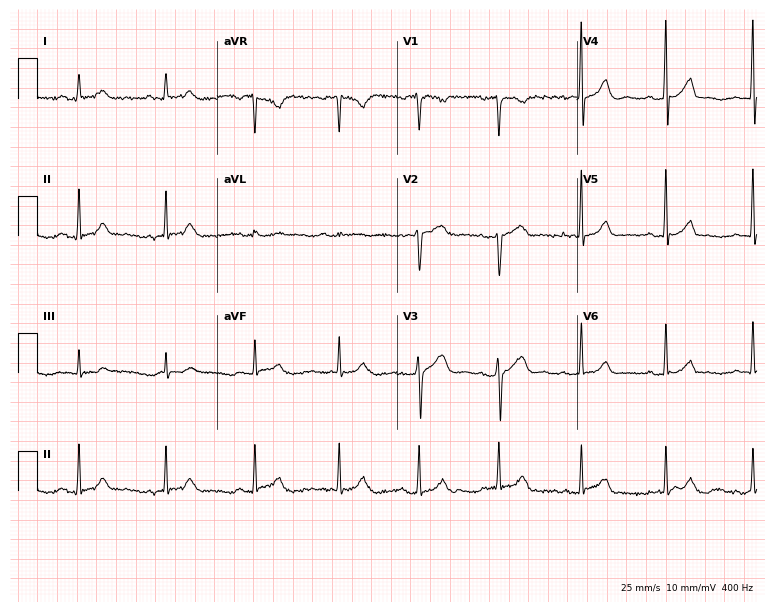
12-lead ECG from a 29-year-old woman. Recorded interpretation: within normal limits.